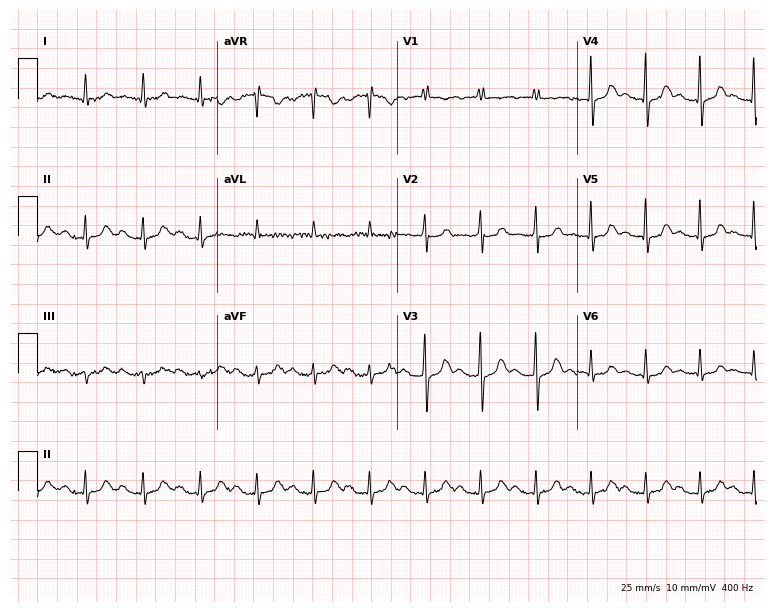
Resting 12-lead electrocardiogram. Patient: an 84-year-old woman. The tracing shows sinus tachycardia (a sinus rate of 100 beats per minute or more).